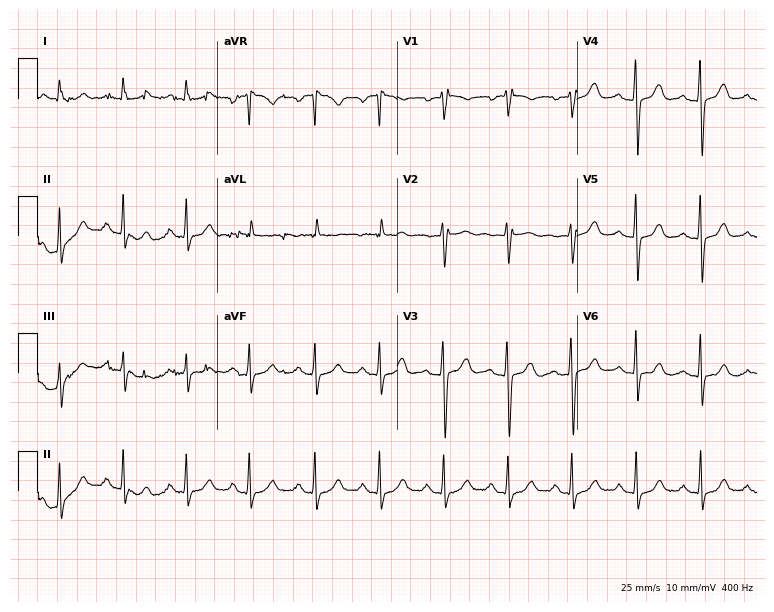
ECG — a female, 73 years old. Screened for six findings — first-degree AV block, right bundle branch block, left bundle branch block, sinus bradycardia, atrial fibrillation, sinus tachycardia — none is recorded. Only these six findings were labelled.